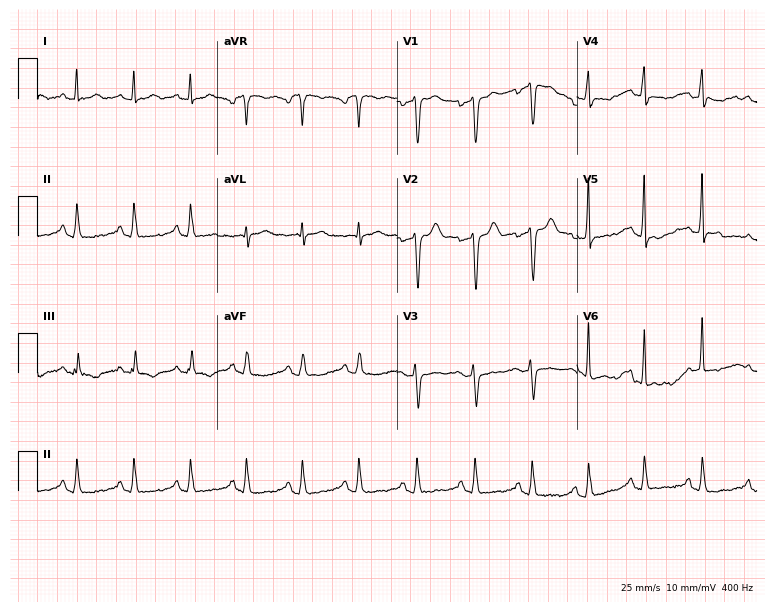
ECG — a 35-year-old man. Screened for six findings — first-degree AV block, right bundle branch block, left bundle branch block, sinus bradycardia, atrial fibrillation, sinus tachycardia — none is recorded. Only these six findings were labelled.